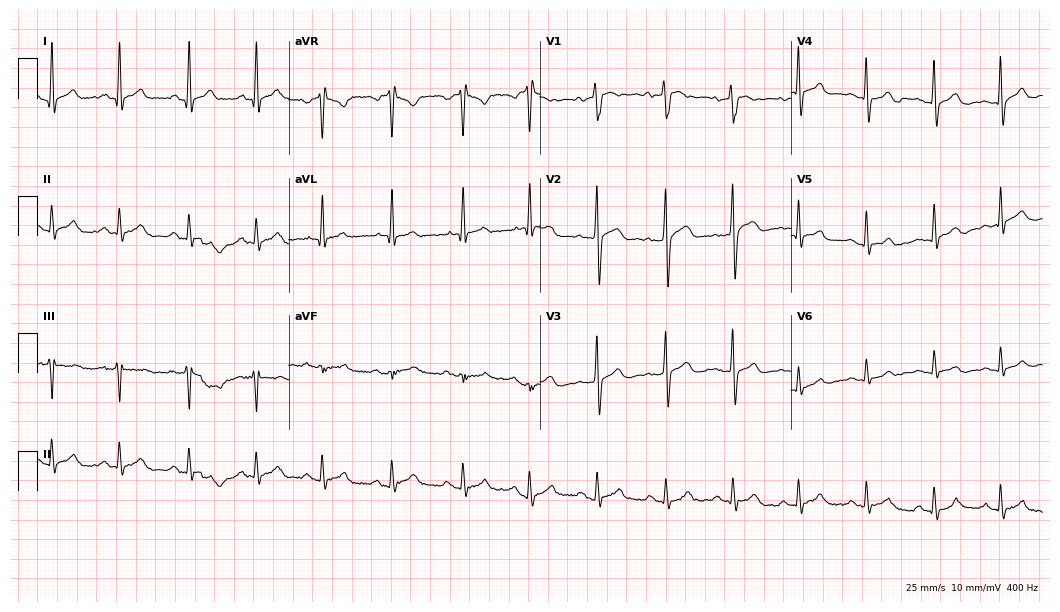
Electrocardiogram (10.2-second recording at 400 Hz), a 38-year-old male patient. Overall reading on record: normal ECG.